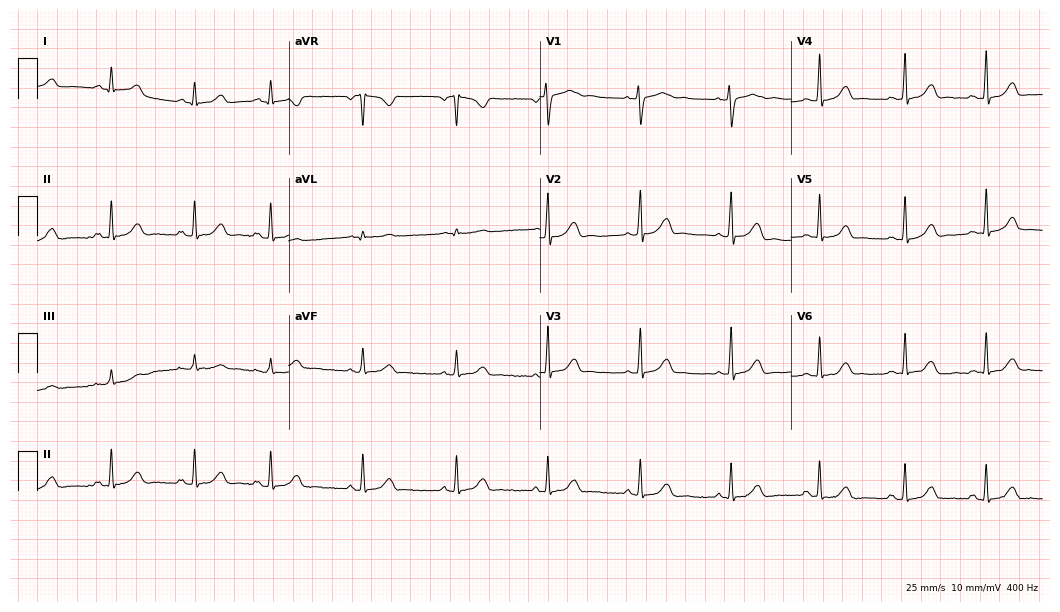
12-lead ECG from a 25-year-old woman. Recorded interpretation: within normal limits.